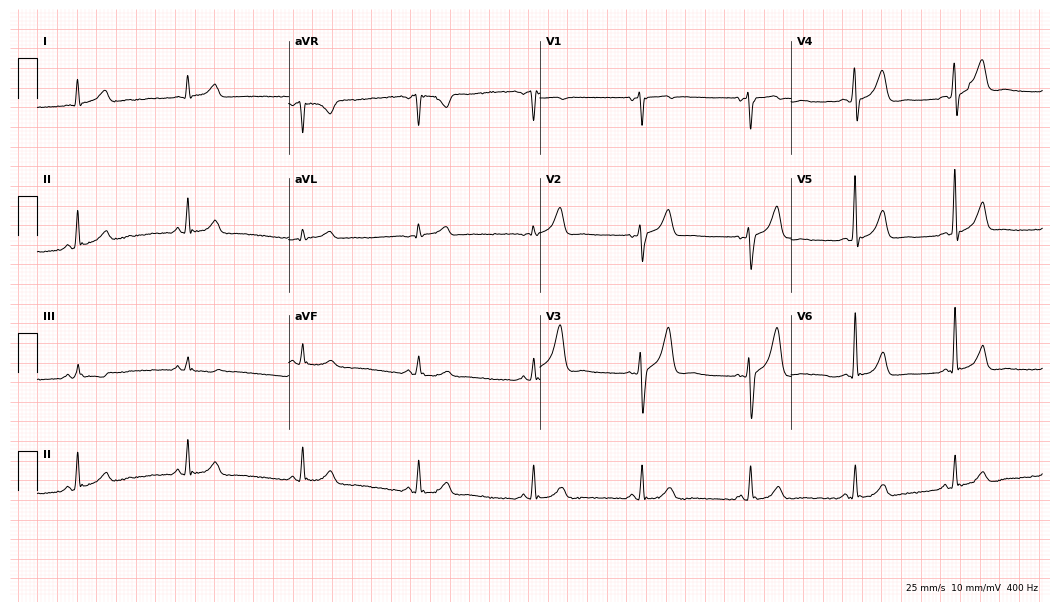
Standard 12-lead ECG recorded from a 65-year-old male patient. Read as a normal ECG.